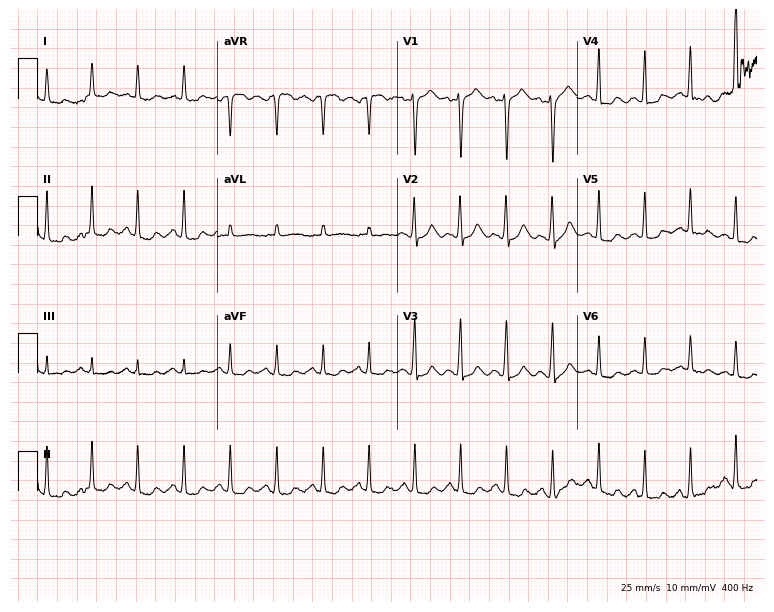
12-lead ECG from a female patient, 30 years old (7.3-second recording at 400 Hz). Shows sinus tachycardia (a sinus rate of 100 beats per minute or more).